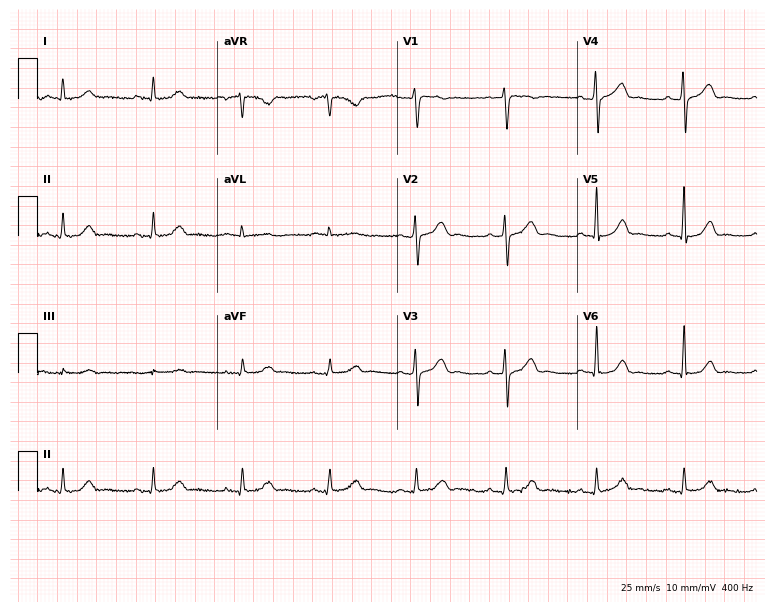
ECG — a male, 47 years old. Labelled as a normal ECG.